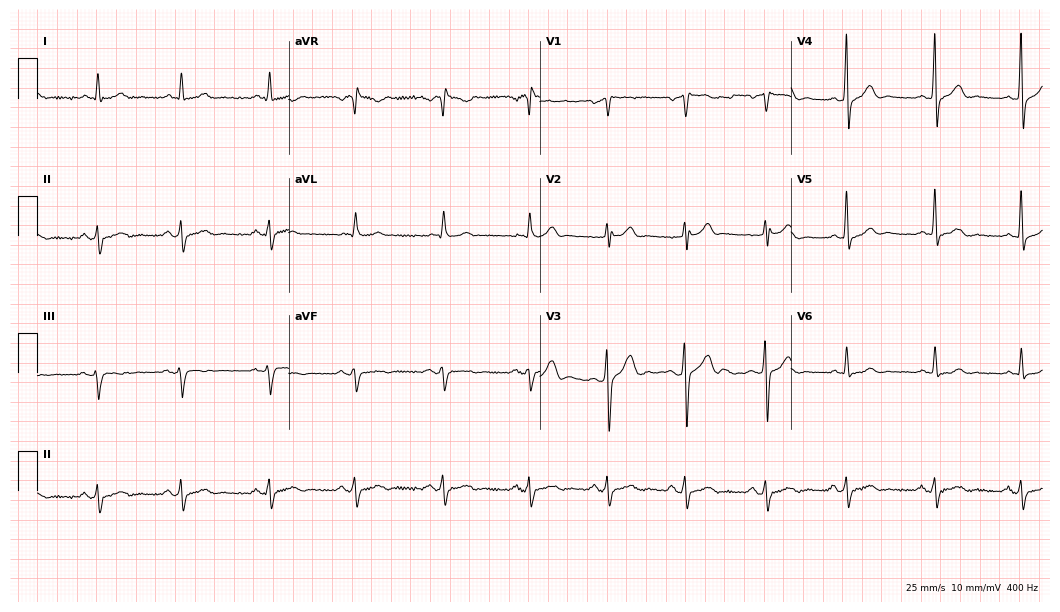
Resting 12-lead electrocardiogram (10.2-second recording at 400 Hz). Patient: a 32-year-old man. None of these six findings is recorded: first-degree AV block, right bundle branch block, left bundle branch block, sinus bradycardia, atrial fibrillation, sinus tachycardia. Only these six findings were labelled.